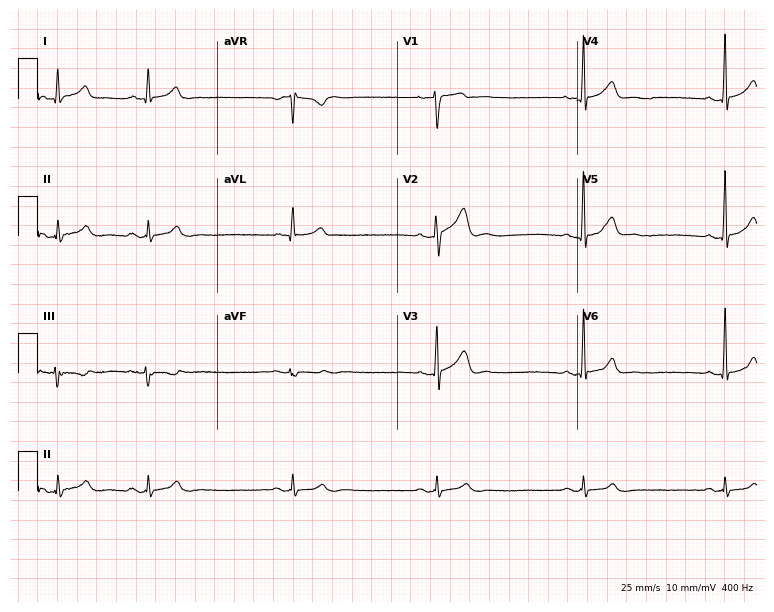
Standard 12-lead ECG recorded from a male, 32 years old. The tracing shows sinus bradycardia (a sinus rate of 50 beats per minute or less).